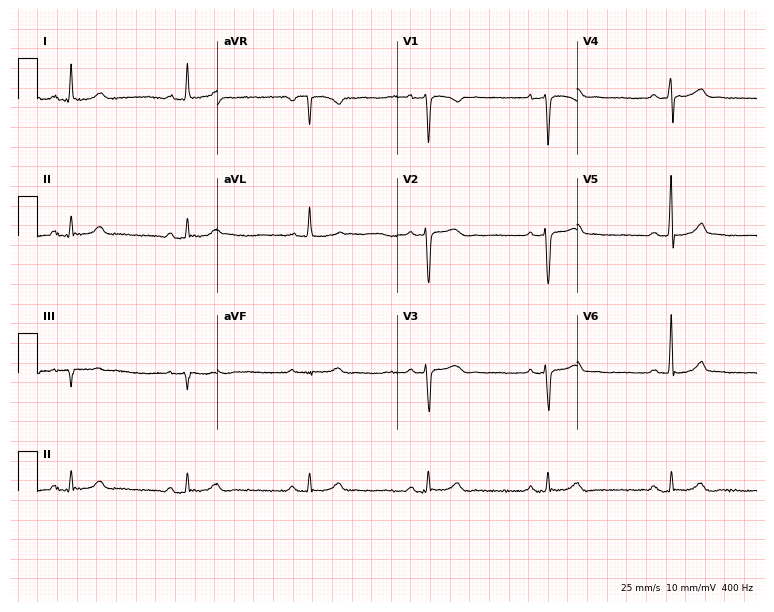
Electrocardiogram (7.3-second recording at 400 Hz), a 59-year-old male. Interpretation includes sinus bradycardia (a sinus rate of 50 beats per minute or less).